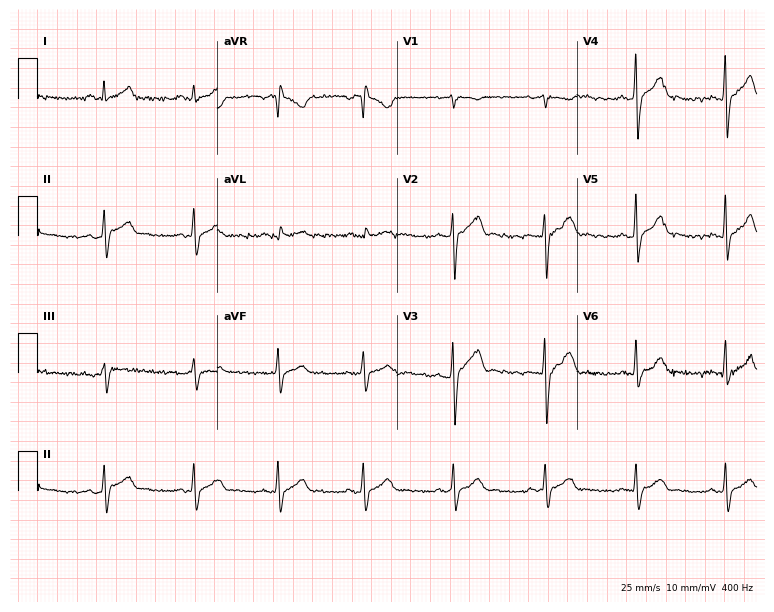
12-lead ECG from a 25-year-old man. Screened for six findings — first-degree AV block, right bundle branch block, left bundle branch block, sinus bradycardia, atrial fibrillation, sinus tachycardia — none is recorded. Only these six findings were labelled.